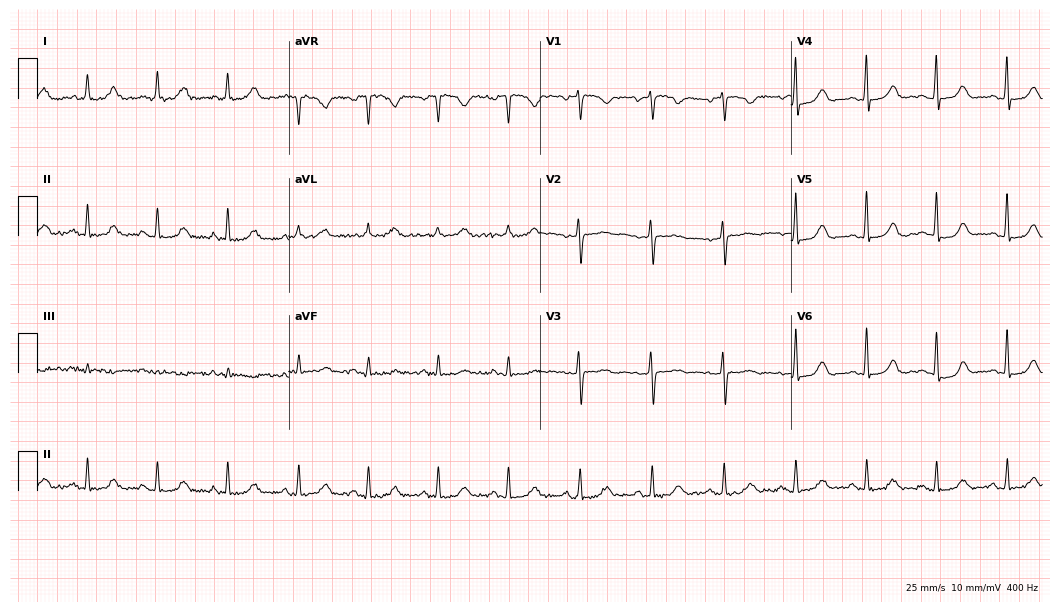
Electrocardiogram, a female, 59 years old. Overall reading on record: normal ECG.